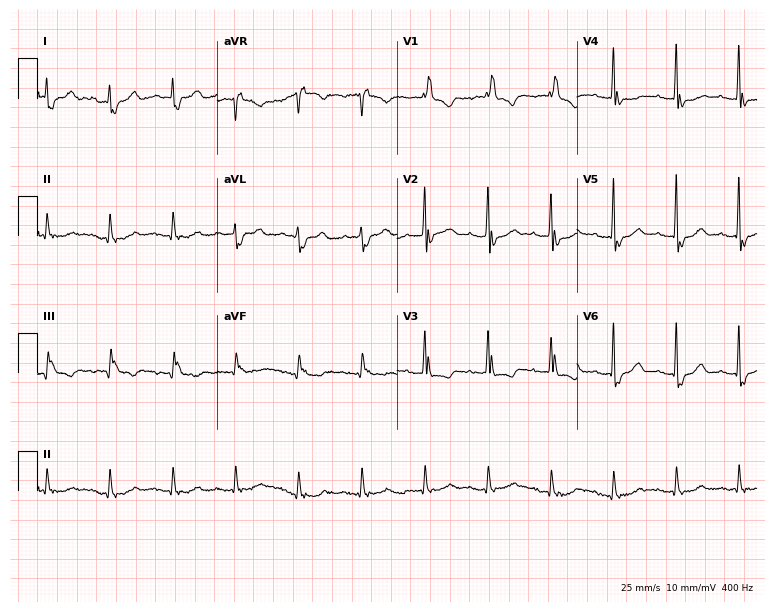
Electrocardiogram (7.3-second recording at 400 Hz), a female, 73 years old. Interpretation includes right bundle branch block (RBBB).